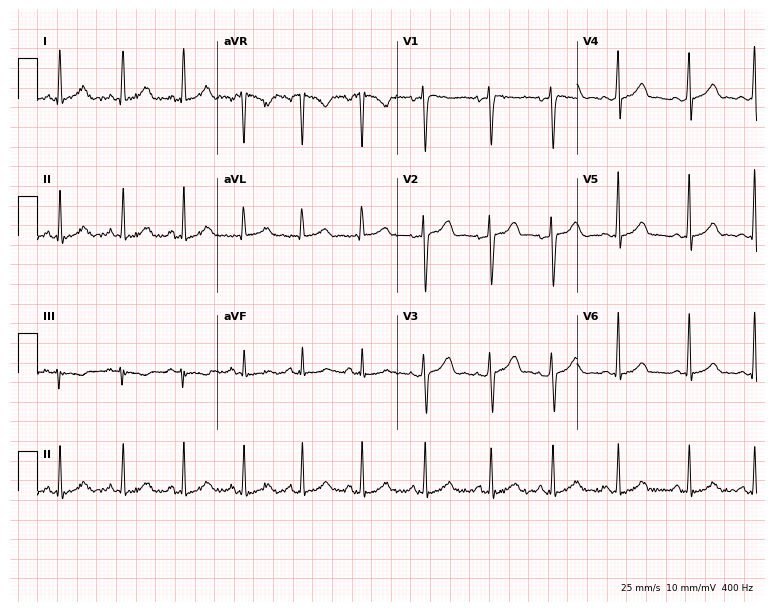
Electrocardiogram, a 27-year-old female. Overall reading on record: normal ECG.